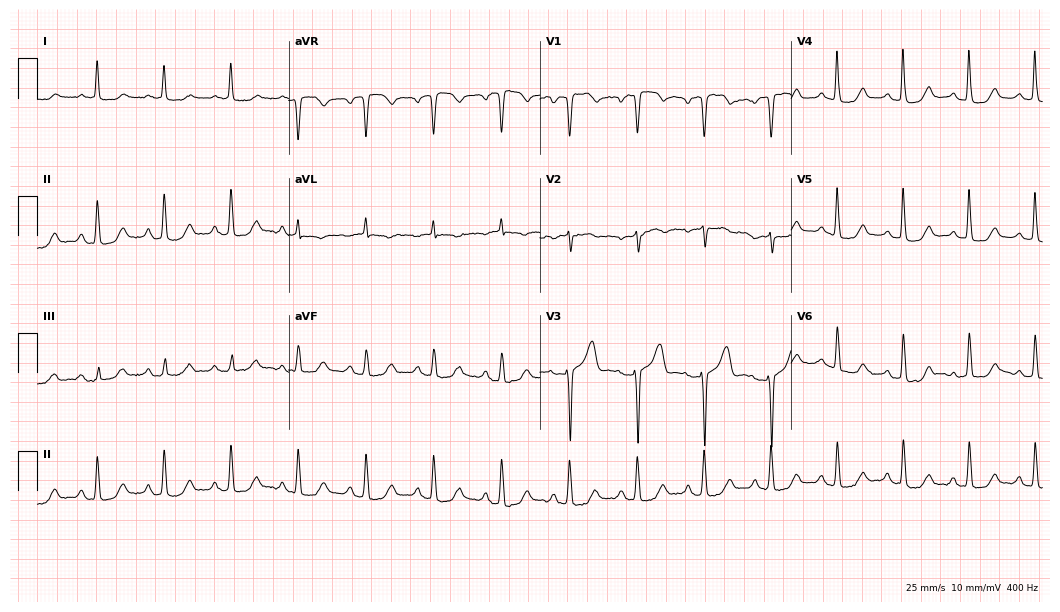
Electrocardiogram, an 85-year-old female. Of the six screened findings (first-degree AV block, right bundle branch block, left bundle branch block, sinus bradycardia, atrial fibrillation, sinus tachycardia), none is recorded. Only these six findings were labelled.